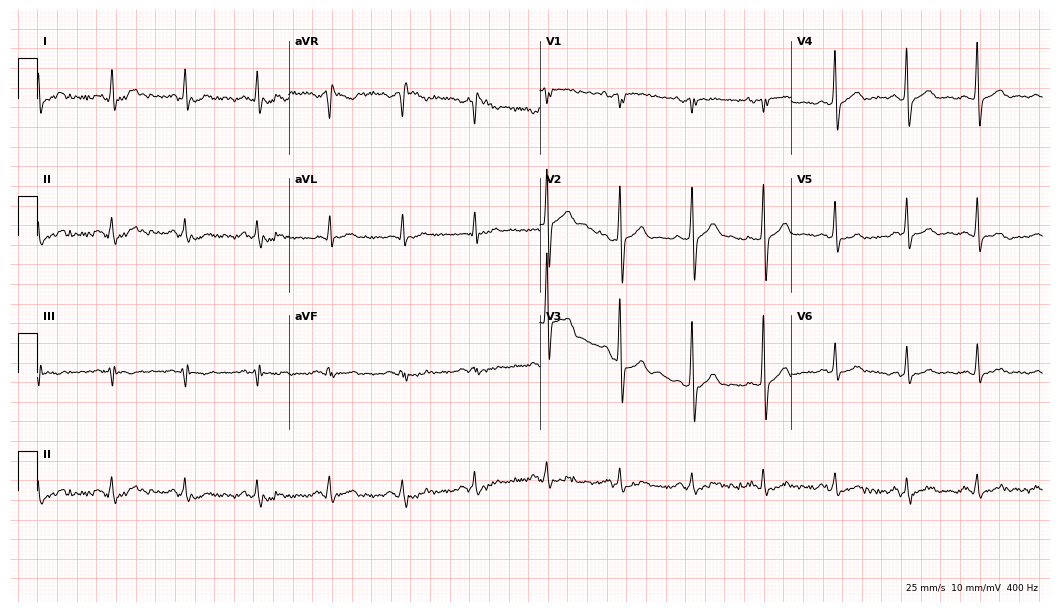
Standard 12-lead ECG recorded from a male, 51 years old (10.2-second recording at 400 Hz). Read as a normal ECG.